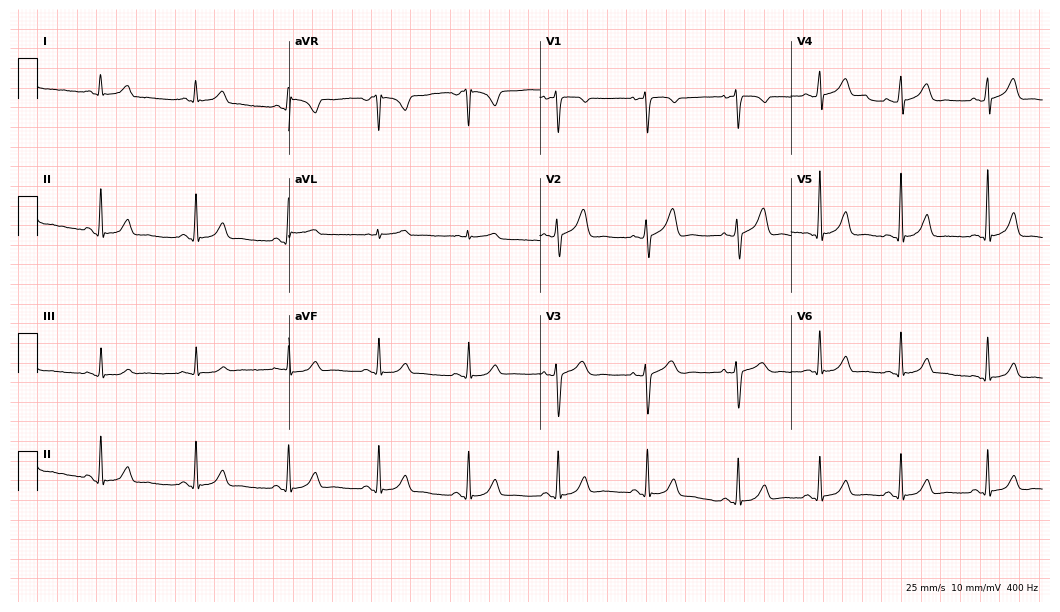
12-lead ECG from a woman, 39 years old (10.2-second recording at 400 Hz). Recorded interpretation: within normal limits.